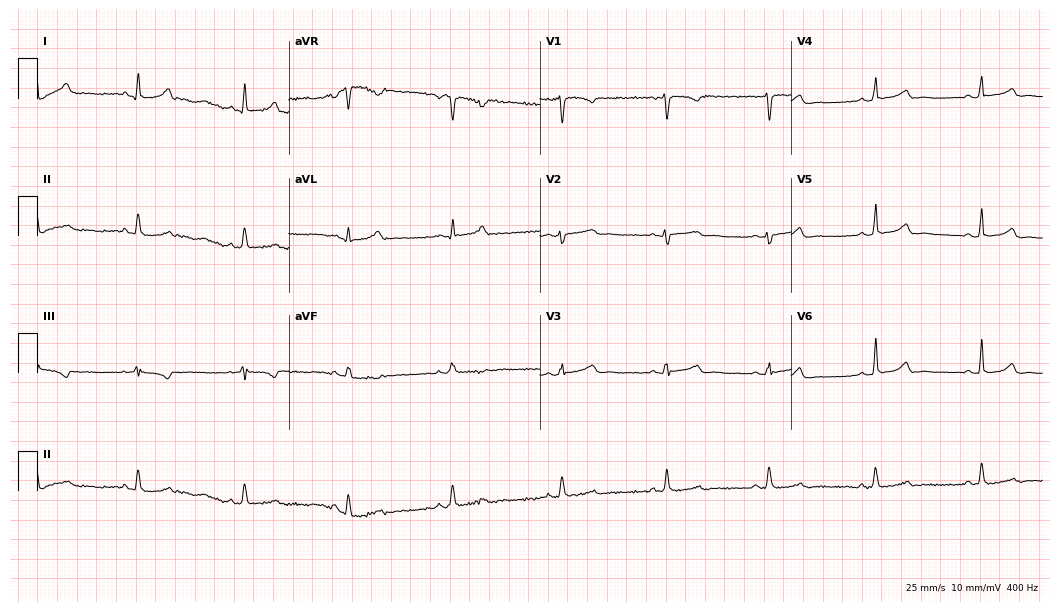
Standard 12-lead ECG recorded from a female patient, 42 years old (10.2-second recording at 400 Hz). None of these six findings is recorded: first-degree AV block, right bundle branch block, left bundle branch block, sinus bradycardia, atrial fibrillation, sinus tachycardia. Findings outside these six are not listed.